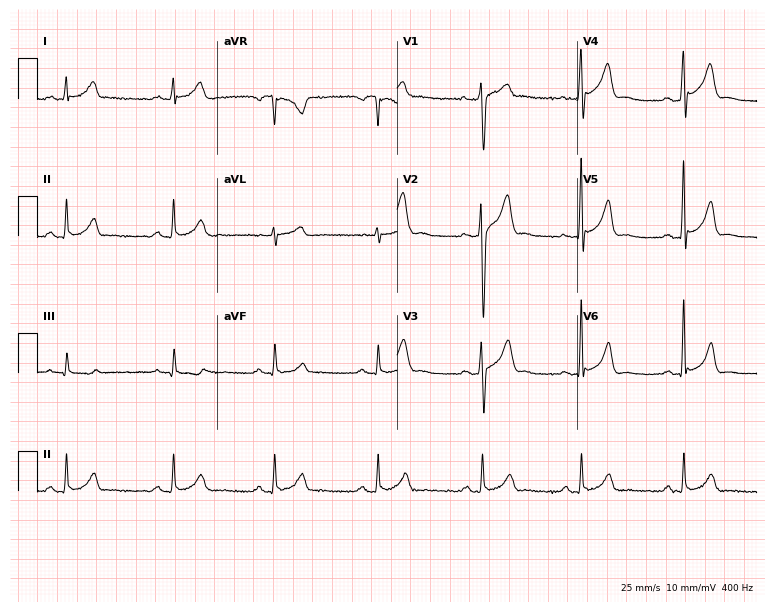
Resting 12-lead electrocardiogram. Patient: a 30-year-old man. Read as a normal ECG.